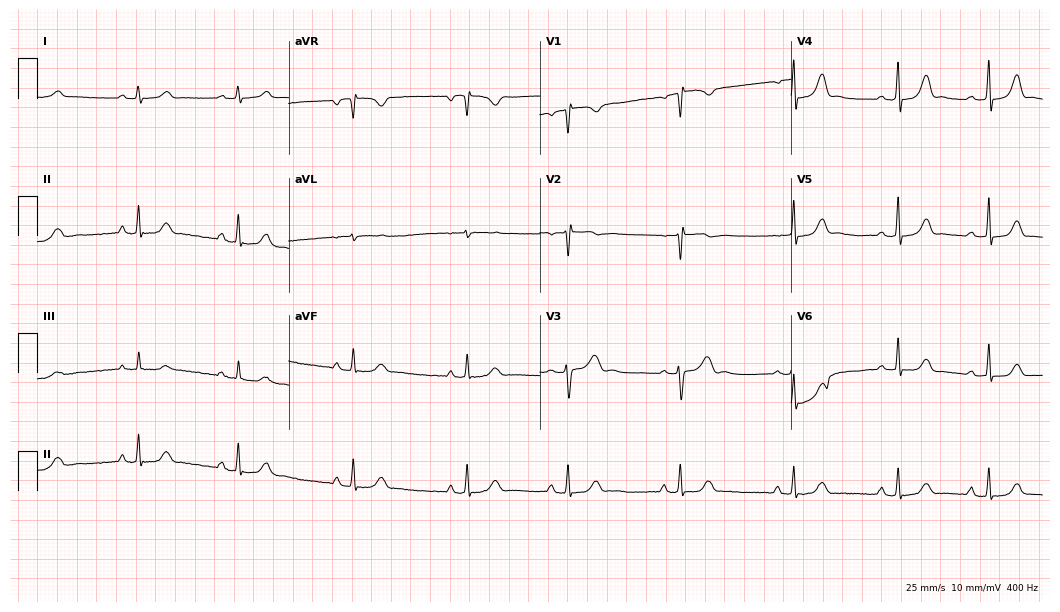
12-lead ECG from a 20-year-old female patient. No first-degree AV block, right bundle branch block, left bundle branch block, sinus bradycardia, atrial fibrillation or sinus tachycardia recorded for this tracing. Other findings, if any, are not listed.